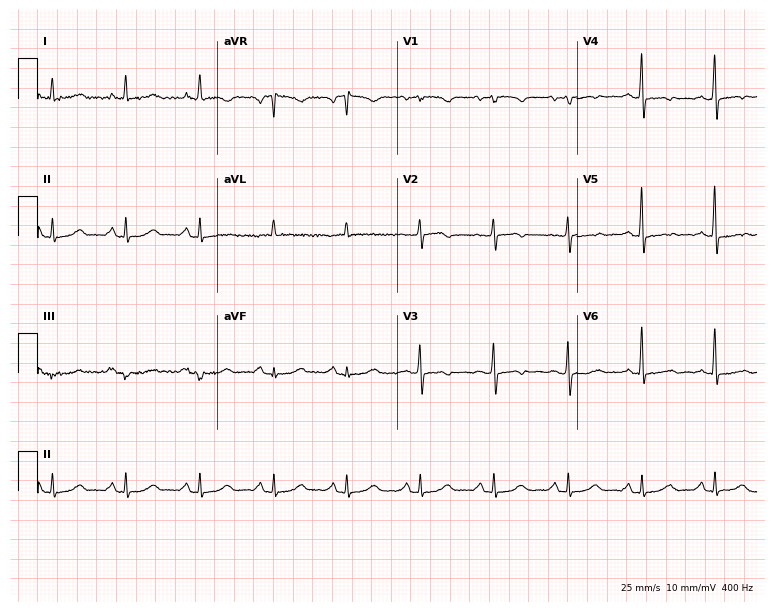
12-lead ECG (7.3-second recording at 400 Hz) from a female, 56 years old. Screened for six findings — first-degree AV block, right bundle branch block, left bundle branch block, sinus bradycardia, atrial fibrillation, sinus tachycardia — none is recorded. Other findings, if any, are not listed.